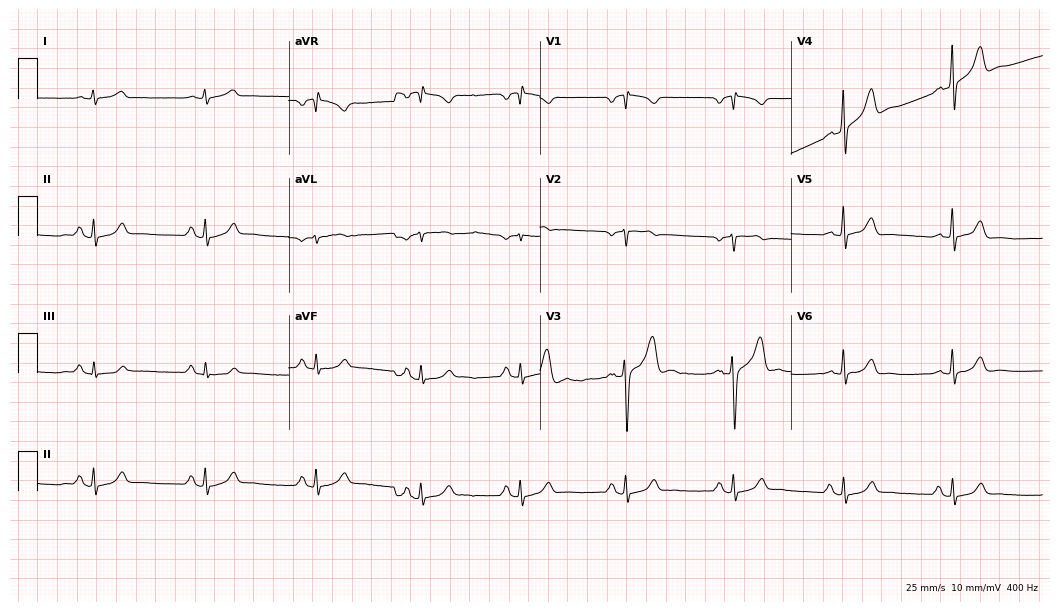
12-lead ECG from a male patient, 53 years old. Screened for six findings — first-degree AV block, right bundle branch block, left bundle branch block, sinus bradycardia, atrial fibrillation, sinus tachycardia — none is recorded.